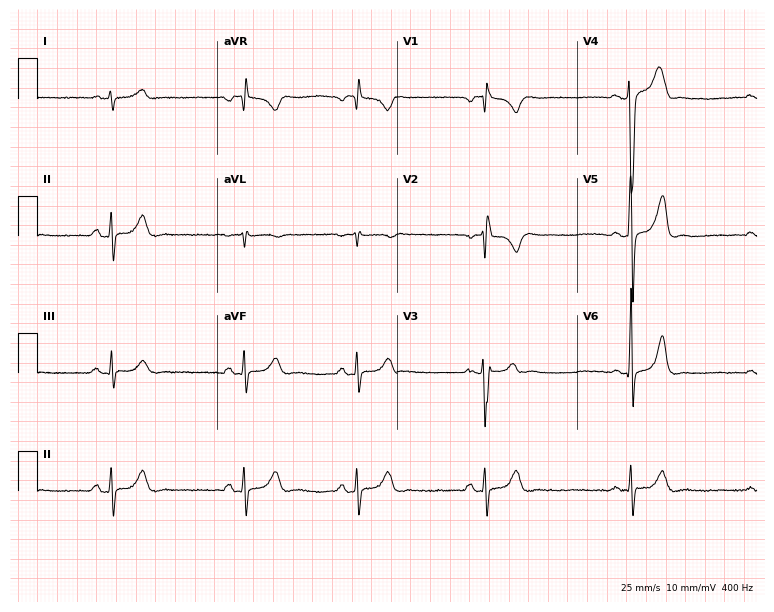
12-lead ECG (7.3-second recording at 400 Hz) from a male, 26 years old. Findings include sinus bradycardia (a sinus rate of 50 beats per minute or less).